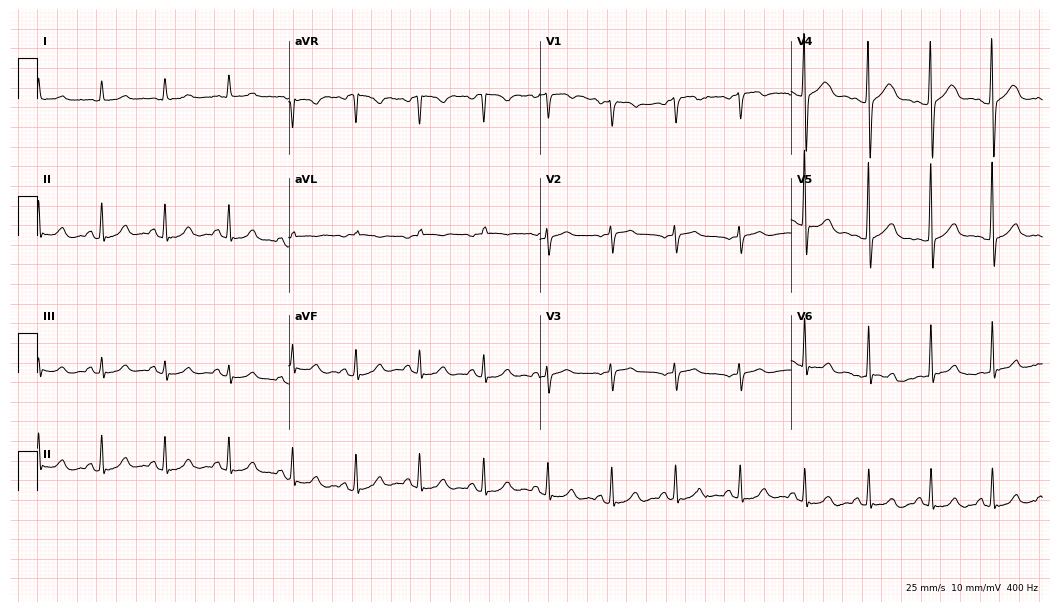
Resting 12-lead electrocardiogram (10.2-second recording at 400 Hz). Patient: a female, 84 years old. Read as a normal ECG.